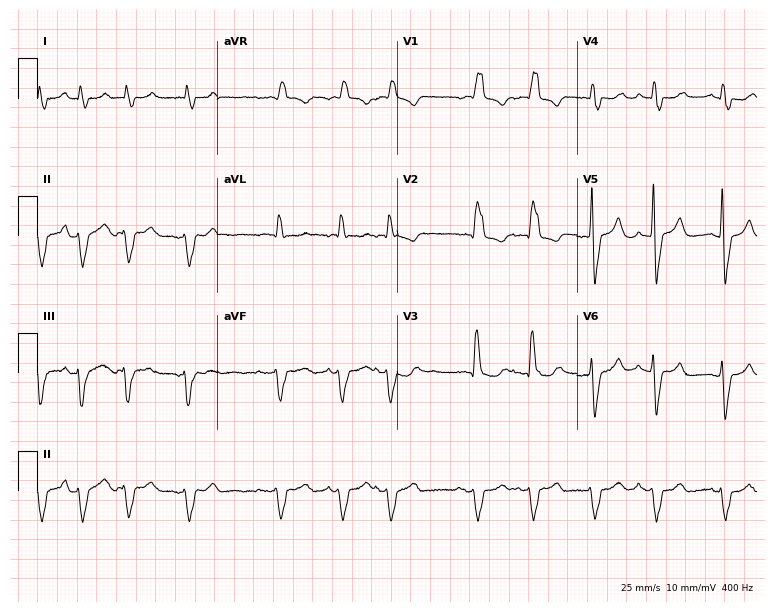
12-lead ECG (7.3-second recording at 400 Hz) from an 81-year-old male. Findings include right bundle branch block, atrial fibrillation.